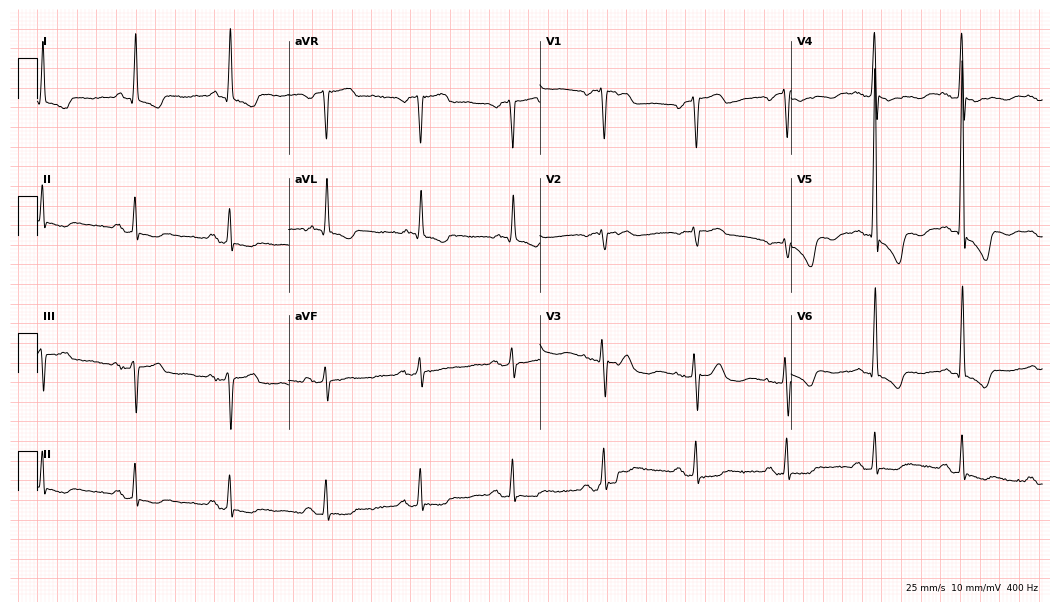
12-lead ECG from a 71-year-old woman (10.2-second recording at 400 Hz). No first-degree AV block, right bundle branch block (RBBB), left bundle branch block (LBBB), sinus bradycardia, atrial fibrillation (AF) or sinus tachycardia recorded for this tracing.